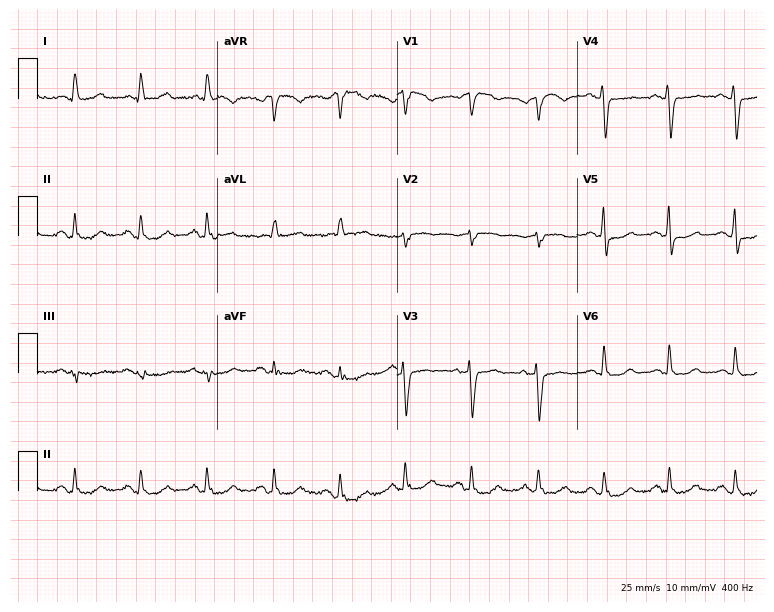
ECG (7.3-second recording at 400 Hz) — a woman, 68 years old. Screened for six findings — first-degree AV block, right bundle branch block (RBBB), left bundle branch block (LBBB), sinus bradycardia, atrial fibrillation (AF), sinus tachycardia — none is recorded.